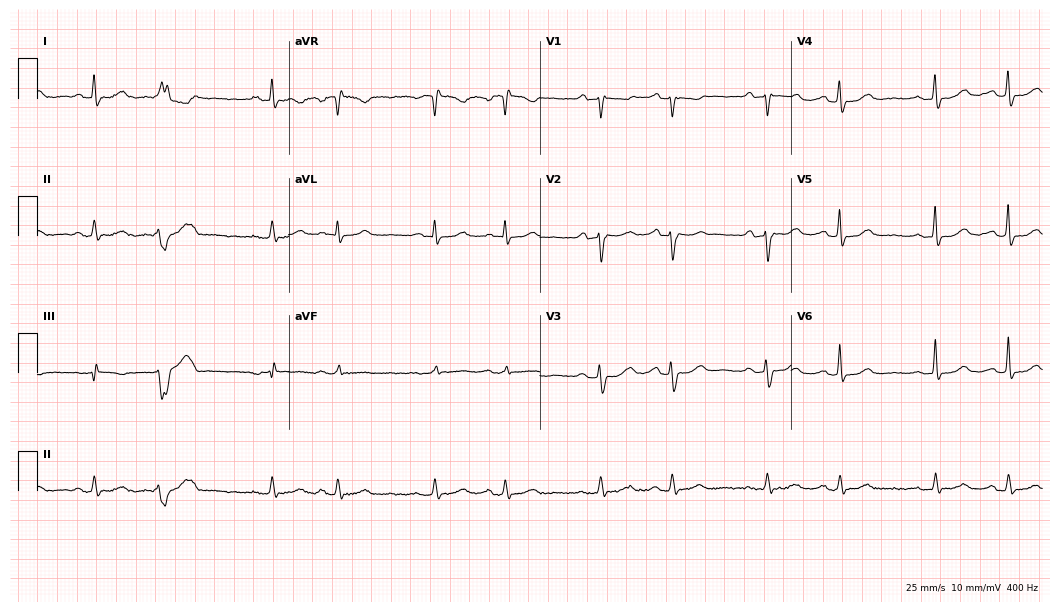
Standard 12-lead ECG recorded from a 60-year-old female. None of these six findings is recorded: first-degree AV block, right bundle branch block (RBBB), left bundle branch block (LBBB), sinus bradycardia, atrial fibrillation (AF), sinus tachycardia. Only these six findings were labelled.